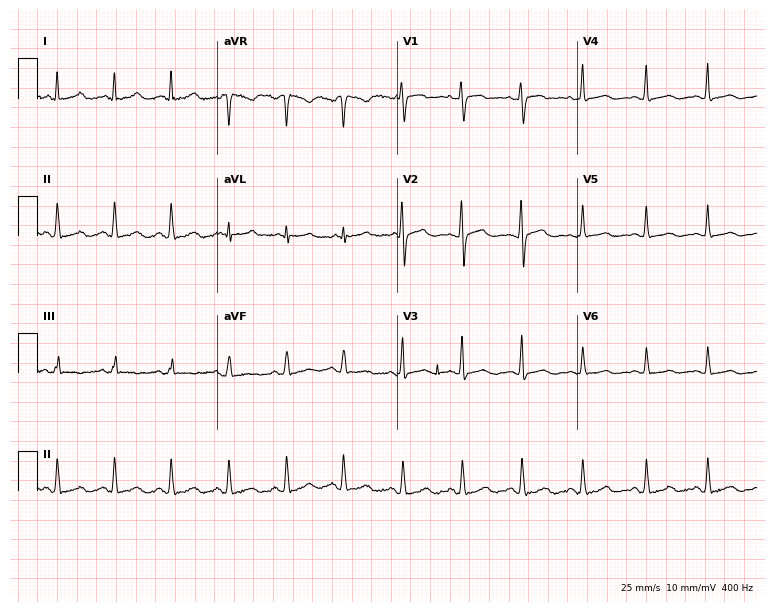
Resting 12-lead electrocardiogram (7.3-second recording at 400 Hz). Patient: a 30-year-old female. None of these six findings is recorded: first-degree AV block, right bundle branch block, left bundle branch block, sinus bradycardia, atrial fibrillation, sinus tachycardia.